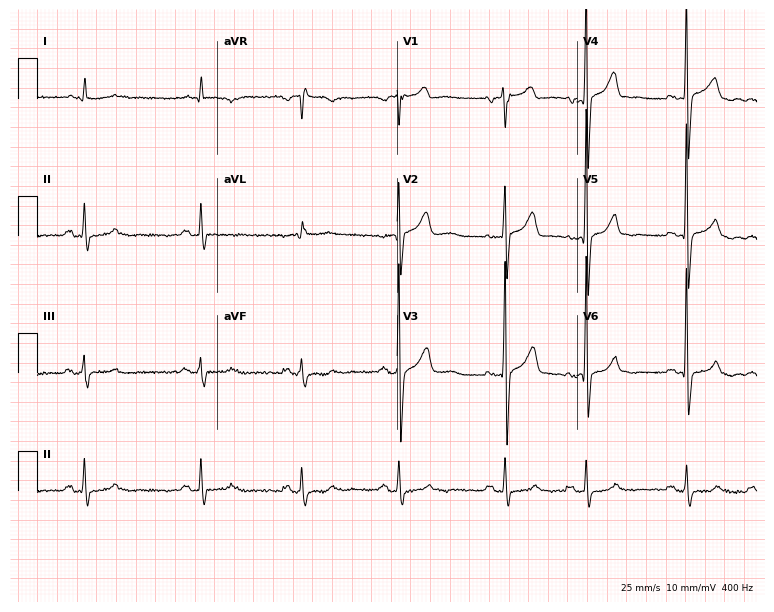
ECG (7.3-second recording at 400 Hz) — a man, 61 years old. Screened for six findings — first-degree AV block, right bundle branch block, left bundle branch block, sinus bradycardia, atrial fibrillation, sinus tachycardia — none is recorded. Only these six findings were labelled.